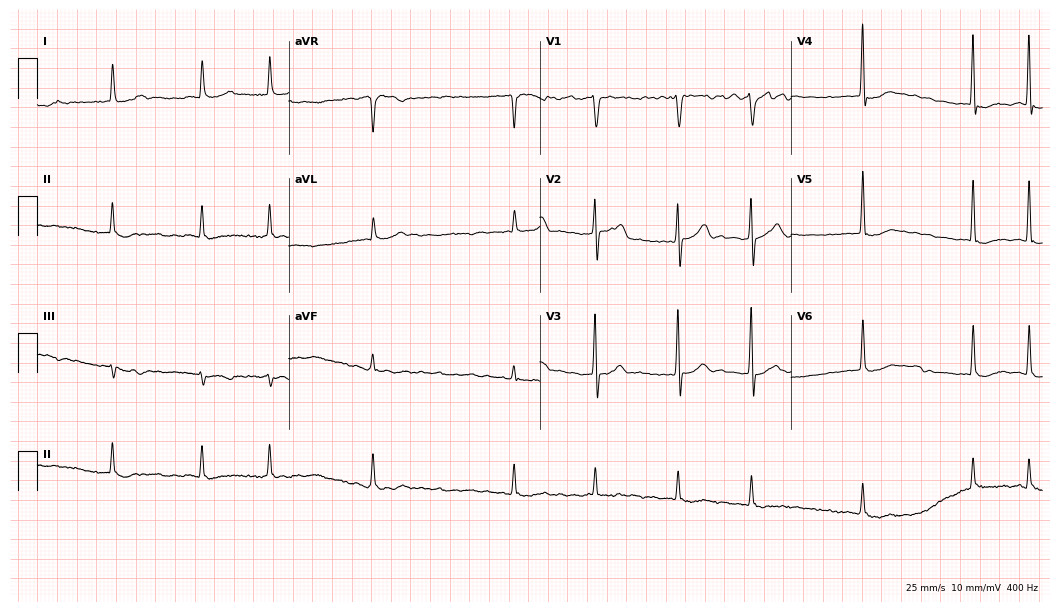
12-lead ECG from a man, 79 years old (10.2-second recording at 400 Hz). No first-degree AV block, right bundle branch block, left bundle branch block, sinus bradycardia, atrial fibrillation or sinus tachycardia recorded for this tracing. Only these six findings were labelled.